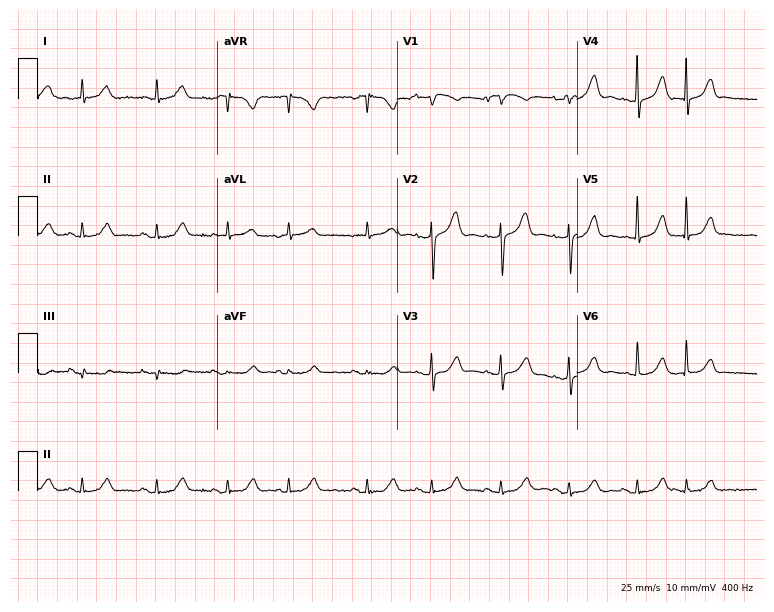
Electrocardiogram (7.3-second recording at 400 Hz), a female, 84 years old. Of the six screened findings (first-degree AV block, right bundle branch block (RBBB), left bundle branch block (LBBB), sinus bradycardia, atrial fibrillation (AF), sinus tachycardia), none is recorded.